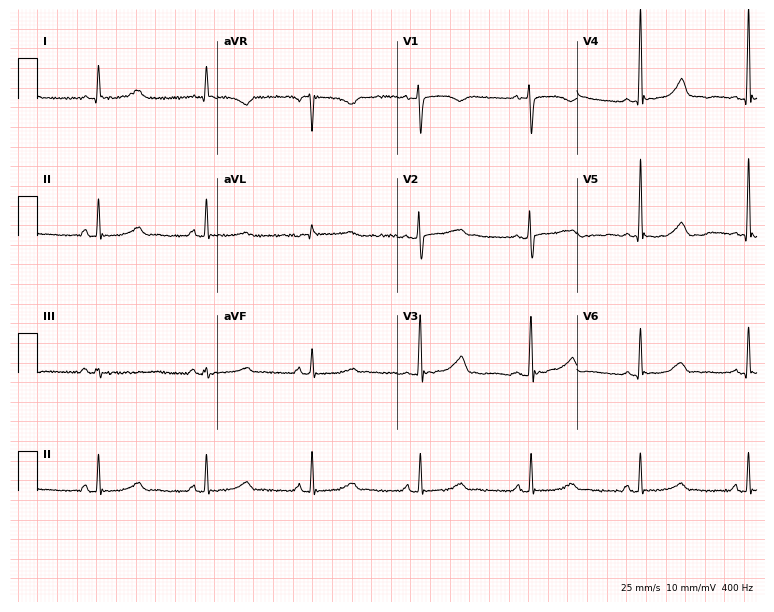
Electrocardiogram (7.3-second recording at 400 Hz), a woman, 56 years old. Of the six screened findings (first-degree AV block, right bundle branch block, left bundle branch block, sinus bradycardia, atrial fibrillation, sinus tachycardia), none is recorded.